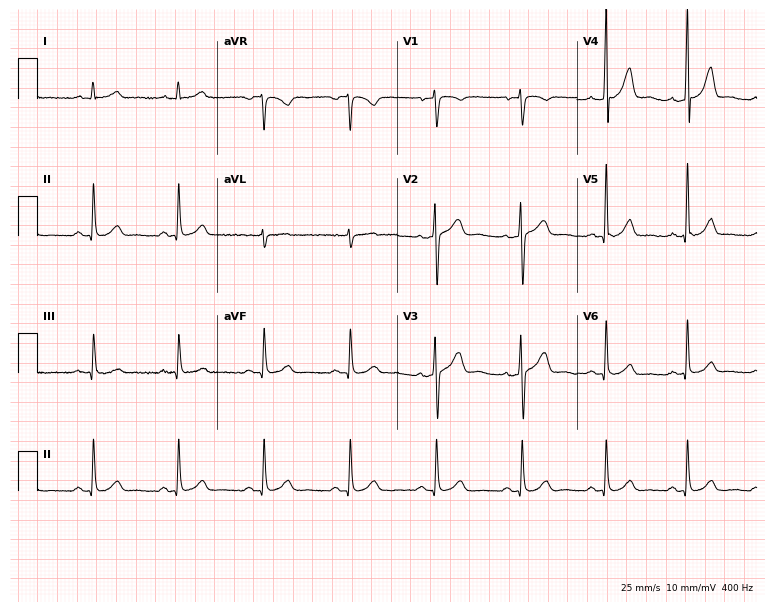
ECG (7.3-second recording at 400 Hz) — a male, 54 years old. Labelled as a normal ECG.